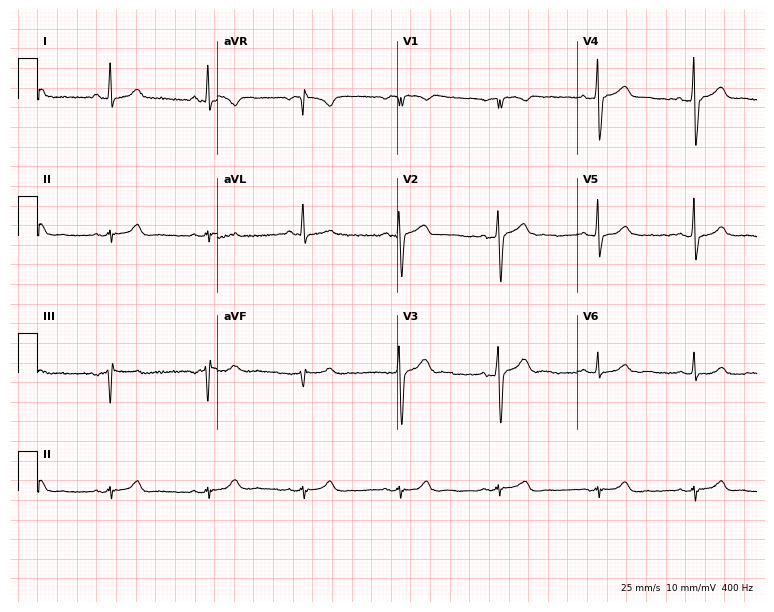
Standard 12-lead ECG recorded from a 54-year-old male patient (7.3-second recording at 400 Hz). None of these six findings is recorded: first-degree AV block, right bundle branch block, left bundle branch block, sinus bradycardia, atrial fibrillation, sinus tachycardia. Findings outside these six are not listed.